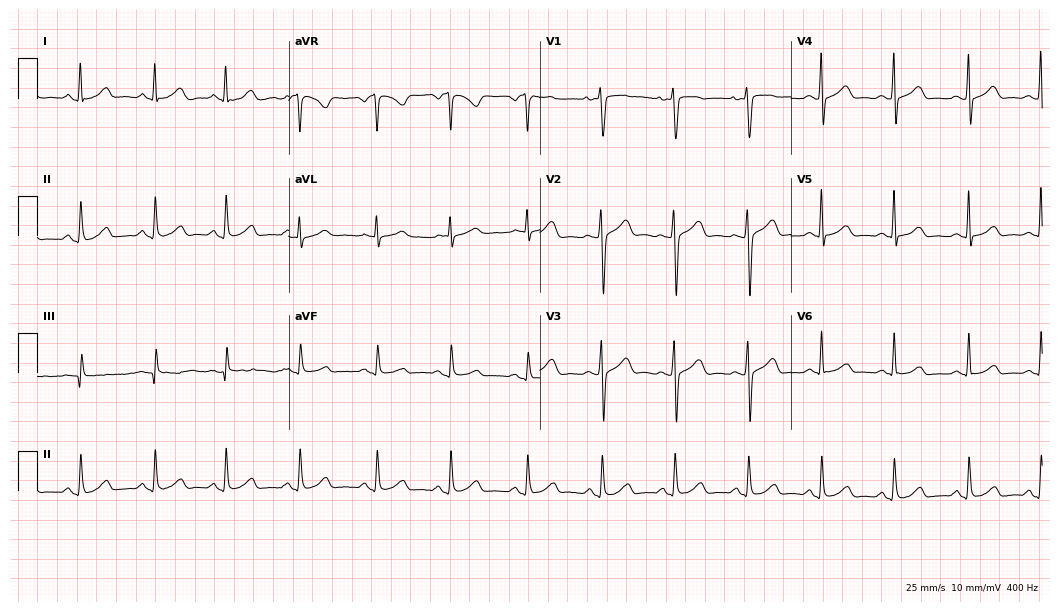
12-lead ECG from a 26-year-old female patient. Screened for six findings — first-degree AV block, right bundle branch block, left bundle branch block, sinus bradycardia, atrial fibrillation, sinus tachycardia — none is recorded. Only these six findings were labelled.